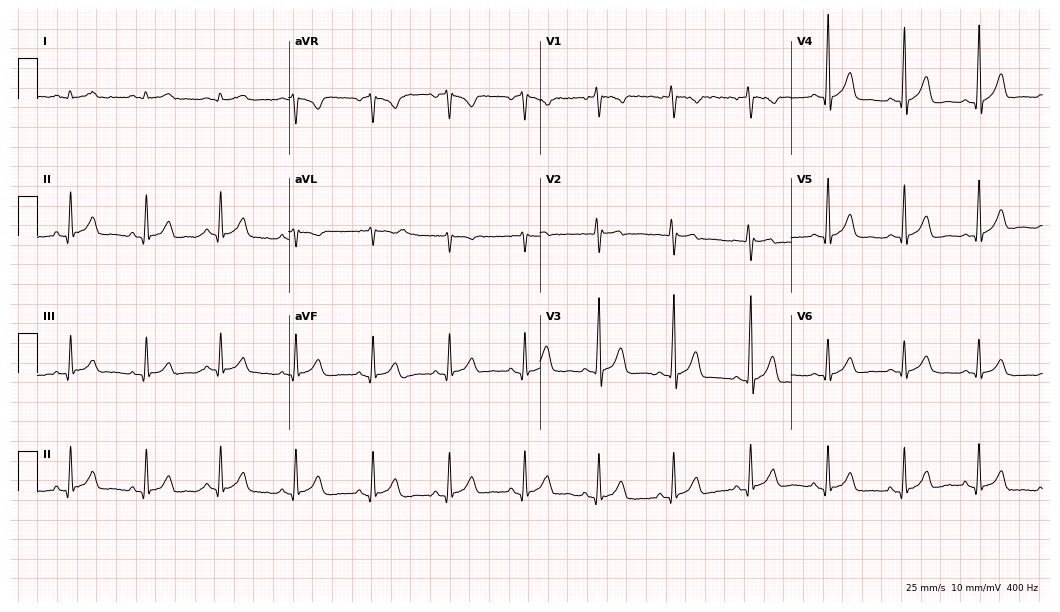
12-lead ECG (10.2-second recording at 400 Hz) from a male, 28 years old. Labelled as a normal ECG.